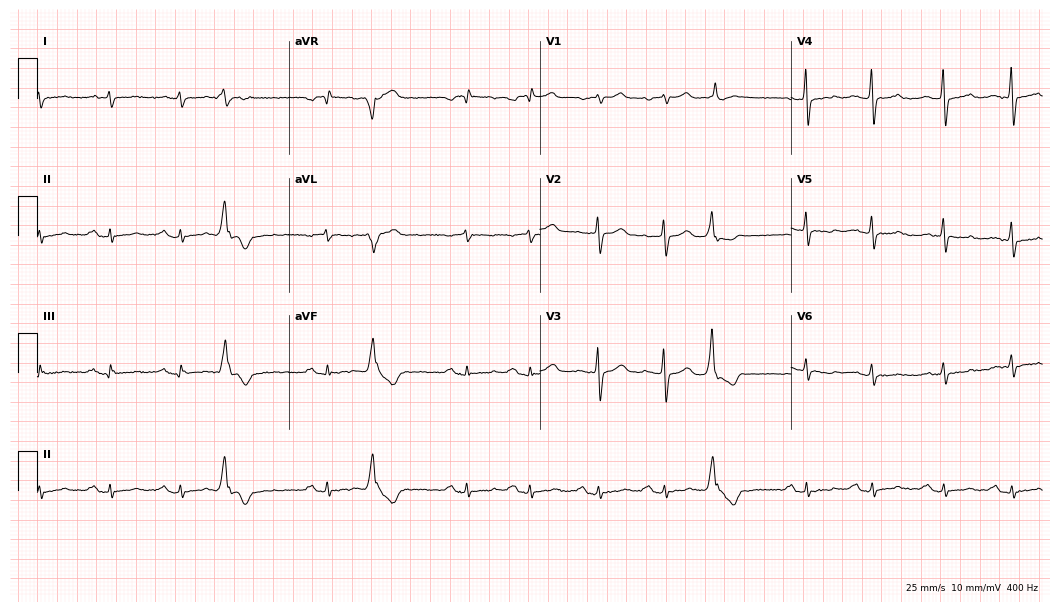
Standard 12-lead ECG recorded from a 68-year-old man (10.2-second recording at 400 Hz). None of these six findings is recorded: first-degree AV block, right bundle branch block, left bundle branch block, sinus bradycardia, atrial fibrillation, sinus tachycardia. Only these six findings were labelled.